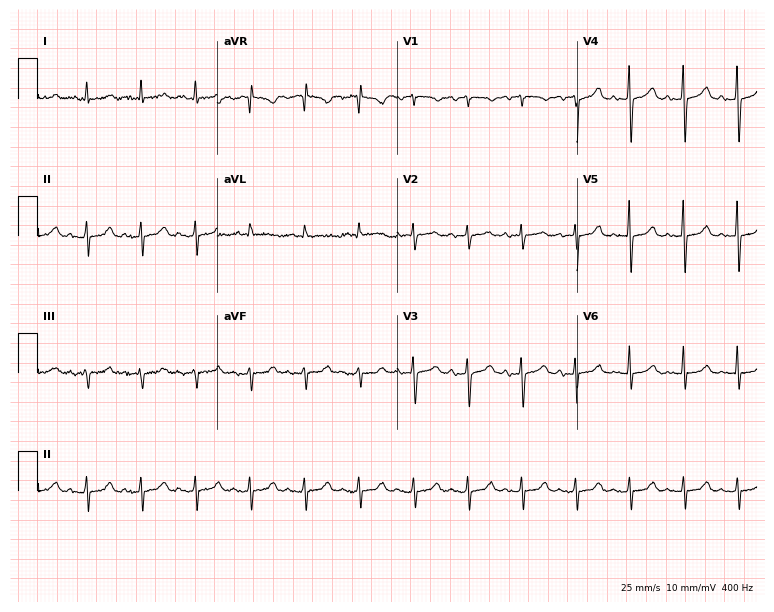
Resting 12-lead electrocardiogram (7.3-second recording at 400 Hz). Patient: a female, 70 years old. The tracing shows sinus tachycardia (a sinus rate of 100 beats per minute or more).